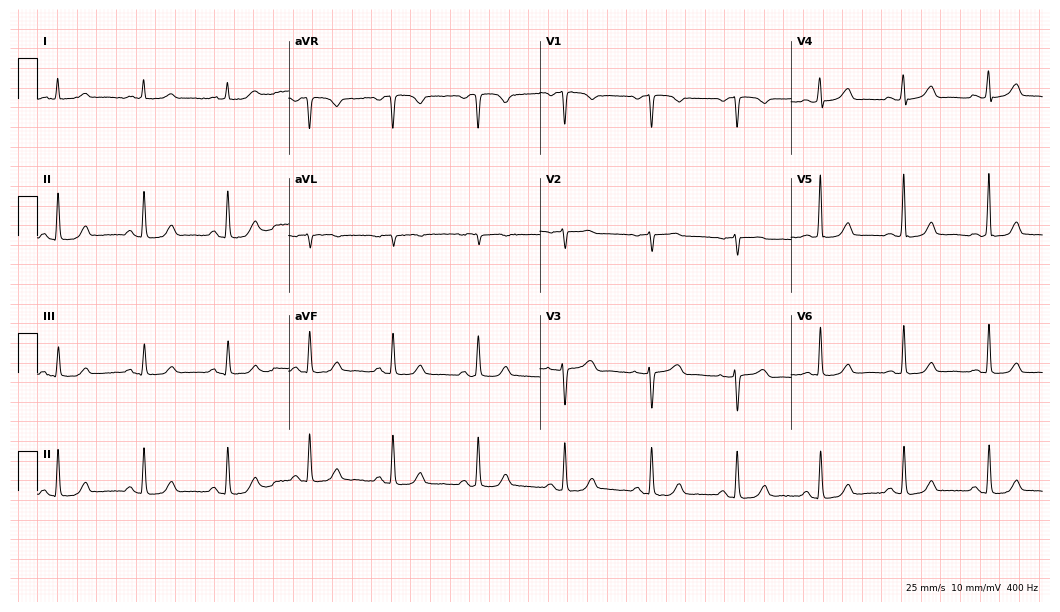
Electrocardiogram, a 65-year-old woman. Overall reading on record: normal ECG.